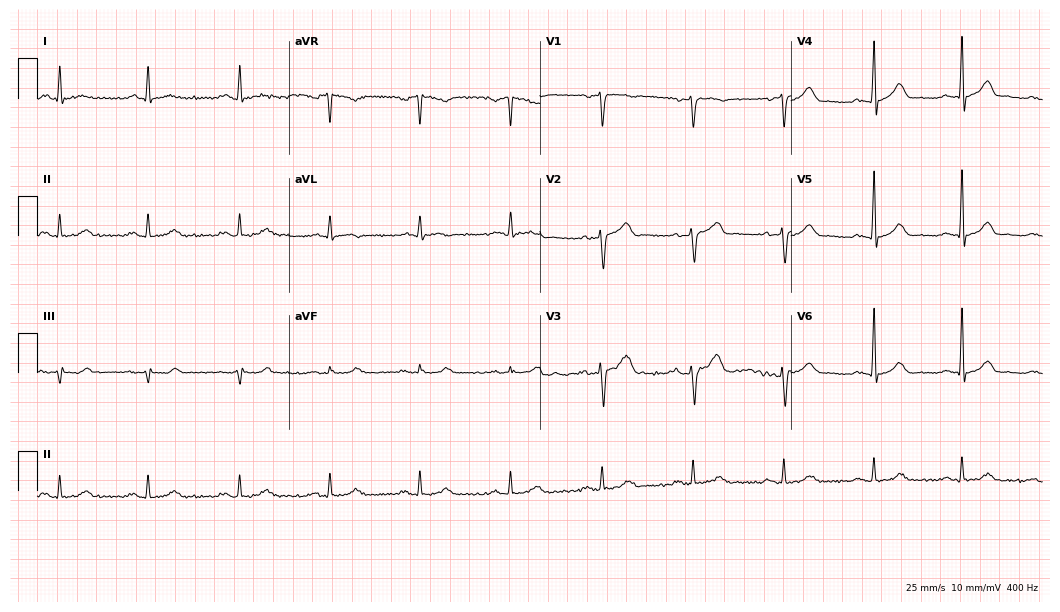
Standard 12-lead ECG recorded from a male patient, 57 years old (10.2-second recording at 400 Hz). Read as a normal ECG.